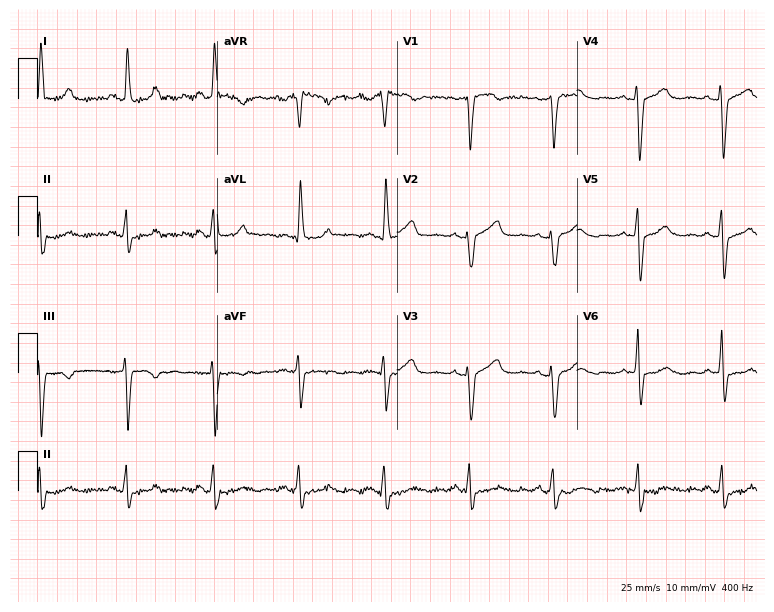
12-lead ECG from a 66-year-old male. Screened for six findings — first-degree AV block, right bundle branch block, left bundle branch block, sinus bradycardia, atrial fibrillation, sinus tachycardia — none is recorded.